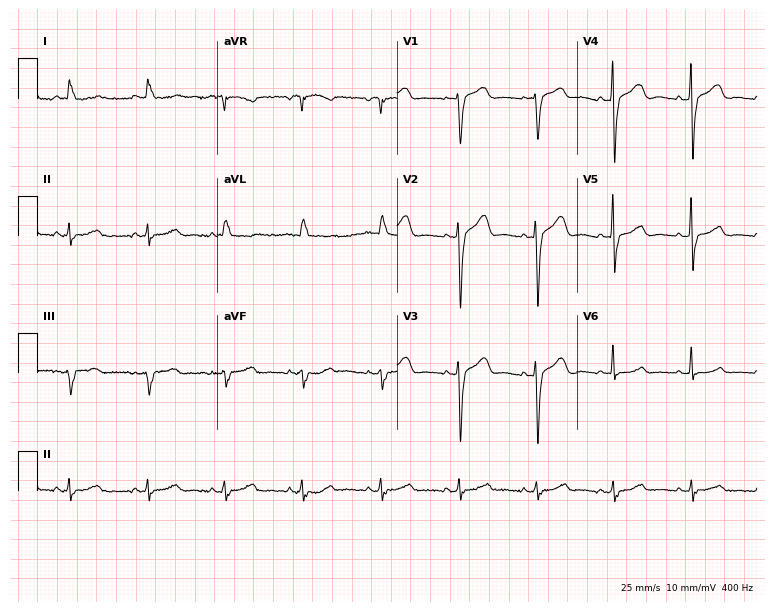
Resting 12-lead electrocardiogram (7.3-second recording at 400 Hz). Patient: an 86-year-old woman. None of these six findings is recorded: first-degree AV block, right bundle branch block, left bundle branch block, sinus bradycardia, atrial fibrillation, sinus tachycardia.